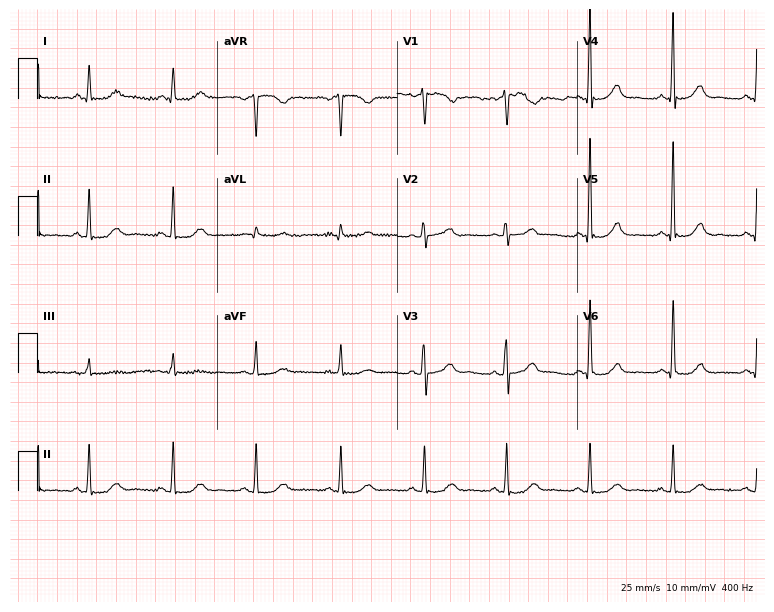
Standard 12-lead ECG recorded from a woman, 62 years old. Read as a normal ECG.